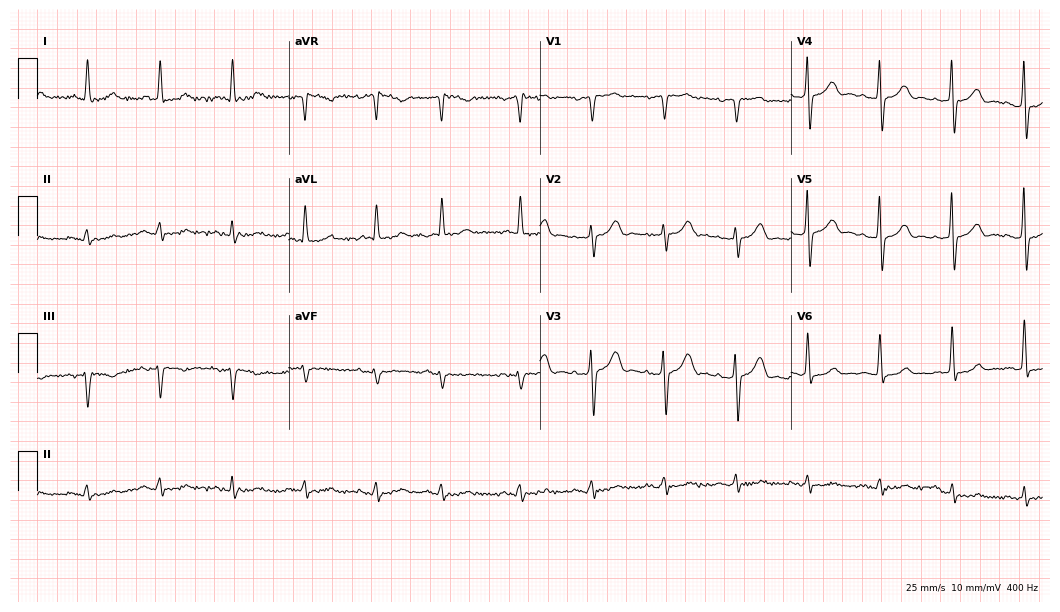
ECG (10.2-second recording at 400 Hz) — a man, 80 years old. Screened for six findings — first-degree AV block, right bundle branch block, left bundle branch block, sinus bradycardia, atrial fibrillation, sinus tachycardia — none is recorded. Findings outside these six are not listed.